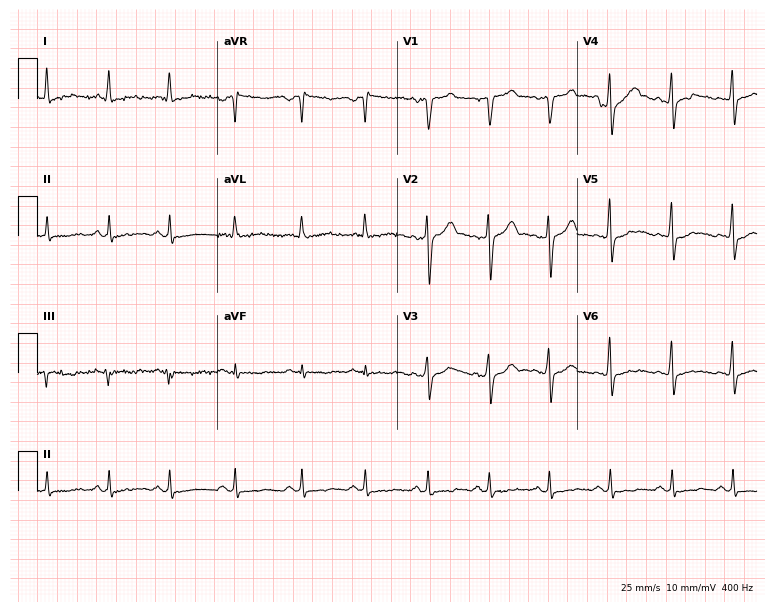
ECG — a male patient, 43 years old. Labelled as a normal ECG.